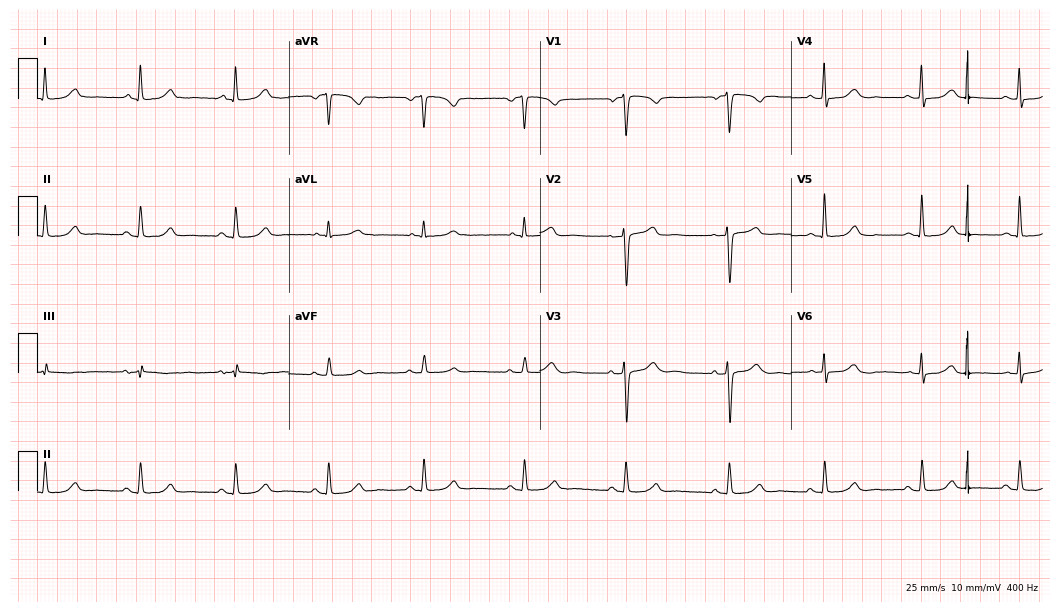
Electrocardiogram, a woman, 52 years old. Overall reading on record: normal ECG.